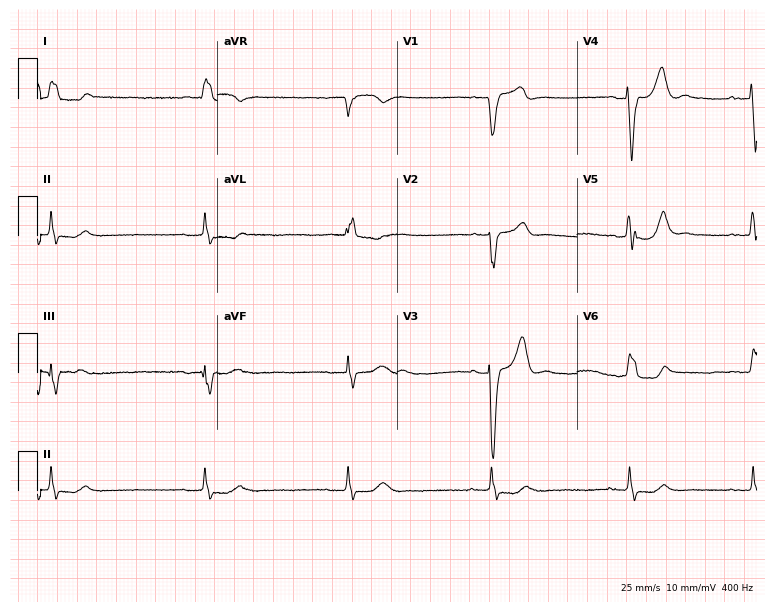
Standard 12-lead ECG recorded from a man, 85 years old (7.3-second recording at 400 Hz). None of these six findings is recorded: first-degree AV block, right bundle branch block, left bundle branch block, sinus bradycardia, atrial fibrillation, sinus tachycardia.